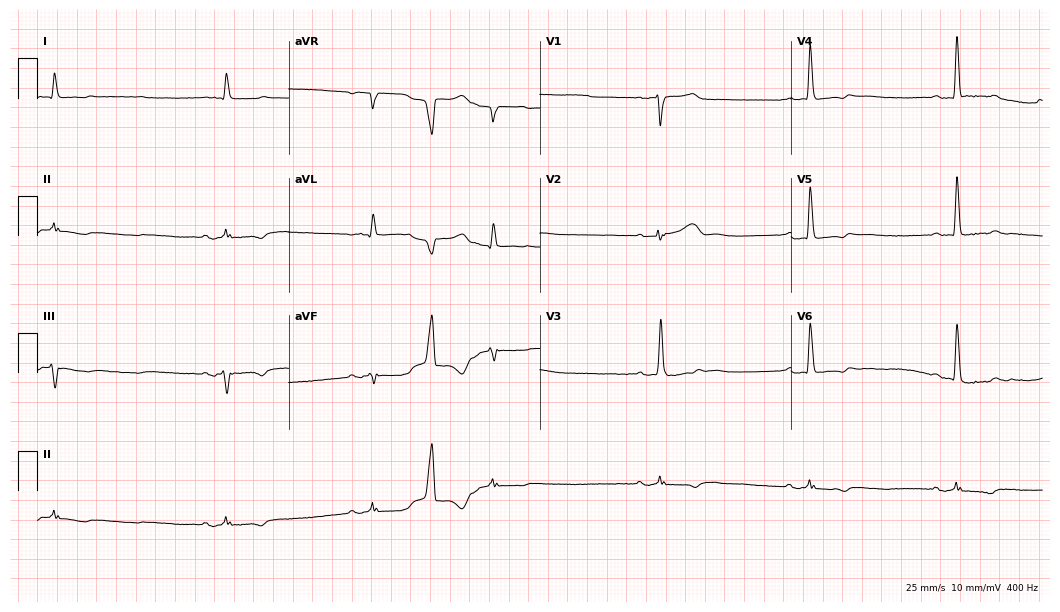
ECG (10.2-second recording at 400 Hz) — a male, 85 years old. Screened for six findings — first-degree AV block, right bundle branch block, left bundle branch block, sinus bradycardia, atrial fibrillation, sinus tachycardia — none is recorded.